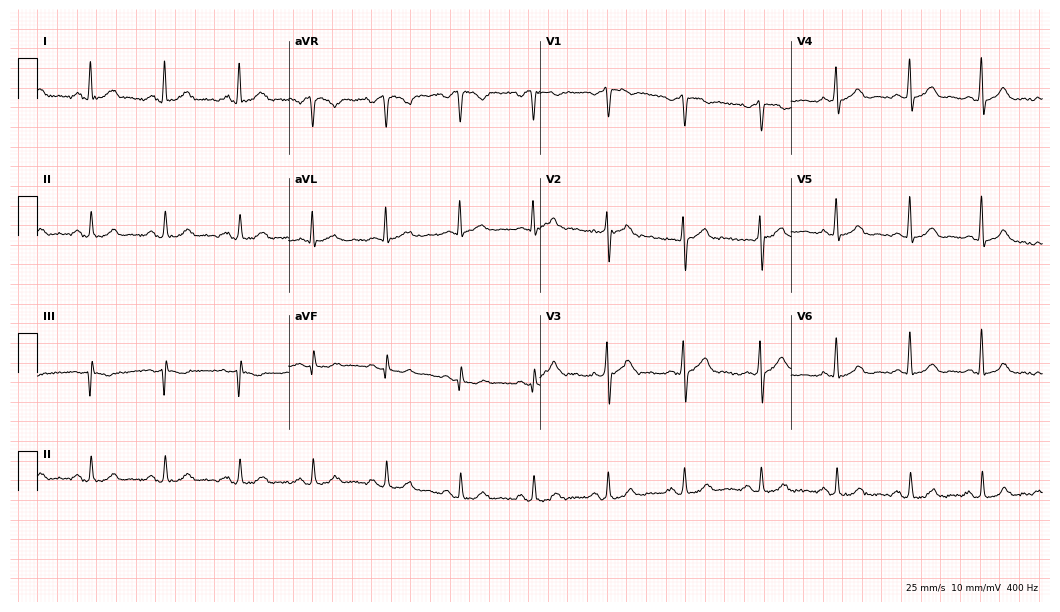
ECG (10.2-second recording at 400 Hz) — a male patient, 49 years old. Labelled as a normal ECG.